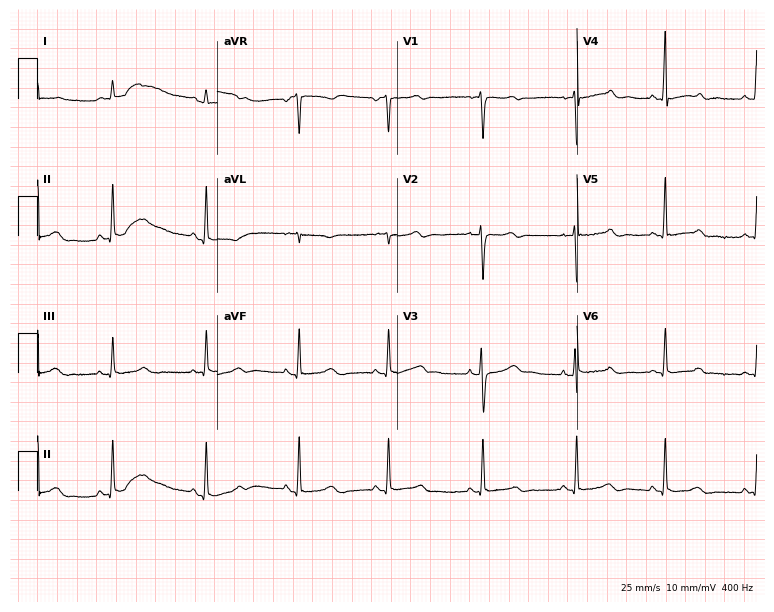
Electrocardiogram, a 41-year-old woman. Of the six screened findings (first-degree AV block, right bundle branch block, left bundle branch block, sinus bradycardia, atrial fibrillation, sinus tachycardia), none is recorded. Only these six findings were labelled.